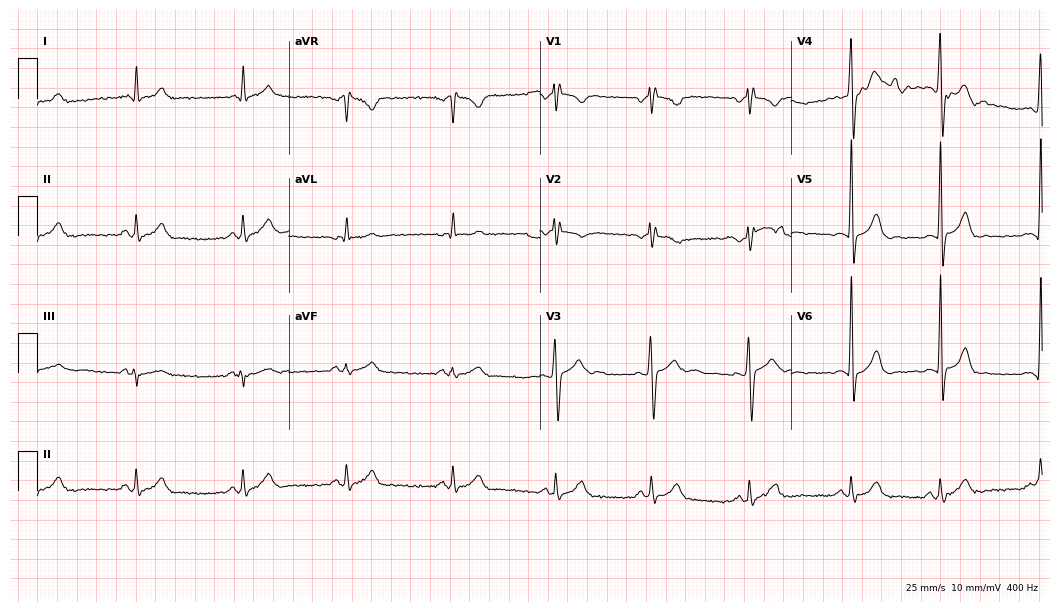
ECG — a man, 20 years old. Screened for six findings — first-degree AV block, right bundle branch block, left bundle branch block, sinus bradycardia, atrial fibrillation, sinus tachycardia — none is recorded. Findings outside these six are not listed.